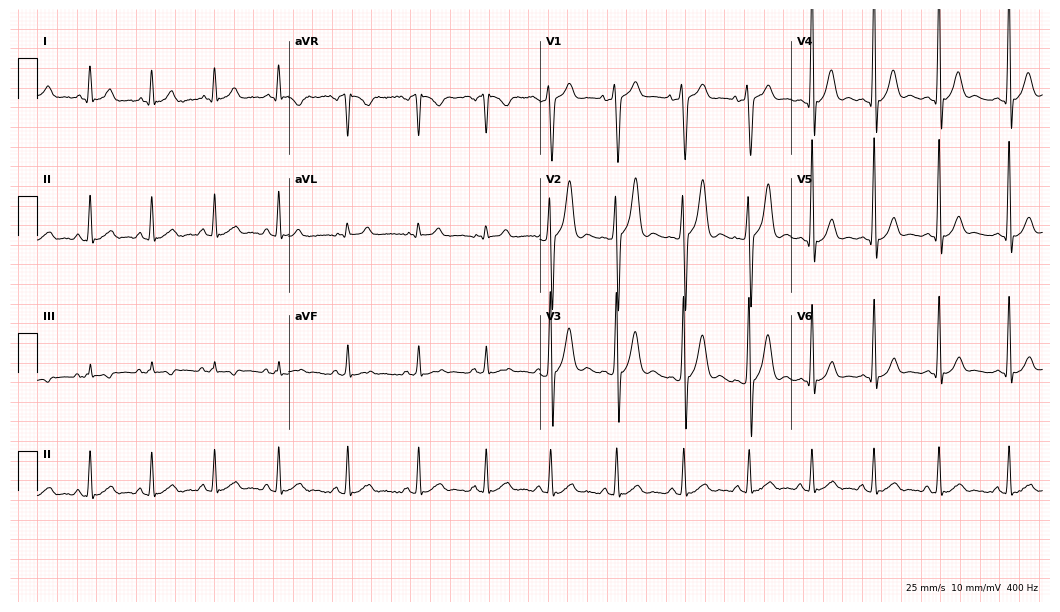
Resting 12-lead electrocardiogram (10.2-second recording at 400 Hz). Patient: an 18-year-old man. Read as a normal ECG.